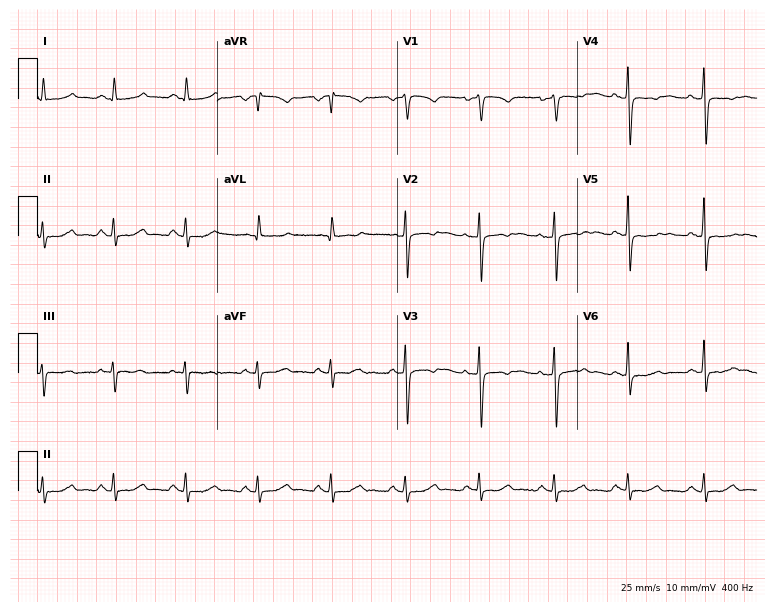
ECG — a female patient, 48 years old. Screened for six findings — first-degree AV block, right bundle branch block, left bundle branch block, sinus bradycardia, atrial fibrillation, sinus tachycardia — none is recorded.